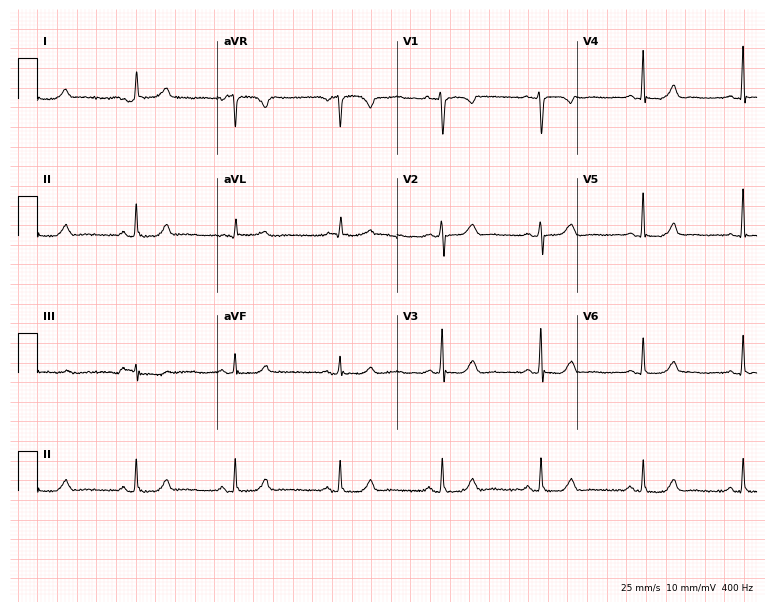
12-lead ECG from a 59-year-old woman. No first-degree AV block, right bundle branch block, left bundle branch block, sinus bradycardia, atrial fibrillation or sinus tachycardia recorded for this tracing. Only these six findings were labelled.